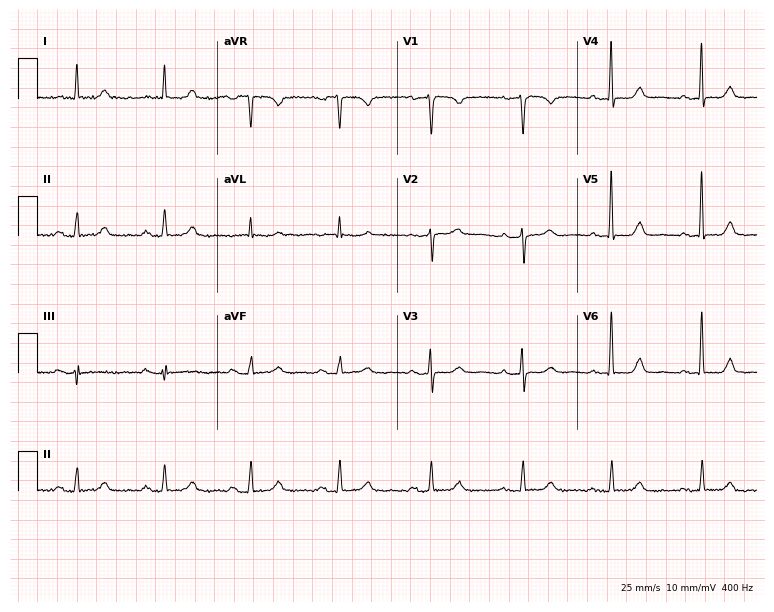
12-lead ECG from a 75-year-old female patient (7.3-second recording at 400 Hz). Recorded interpretation: within normal limits.